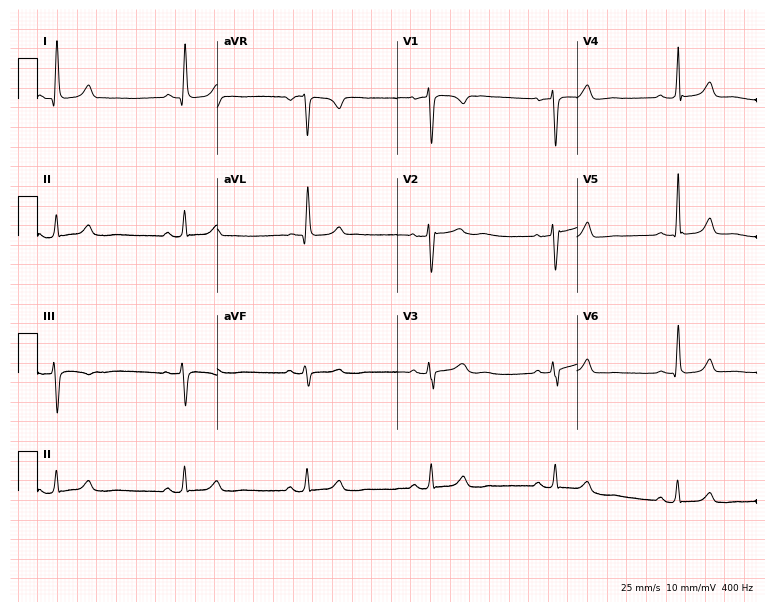
ECG (7.3-second recording at 400 Hz) — a 52-year-old female patient. Screened for six findings — first-degree AV block, right bundle branch block (RBBB), left bundle branch block (LBBB), sinus bradycardia, atrial fibrillation (AF), sinus tachycardia — none is recorded.